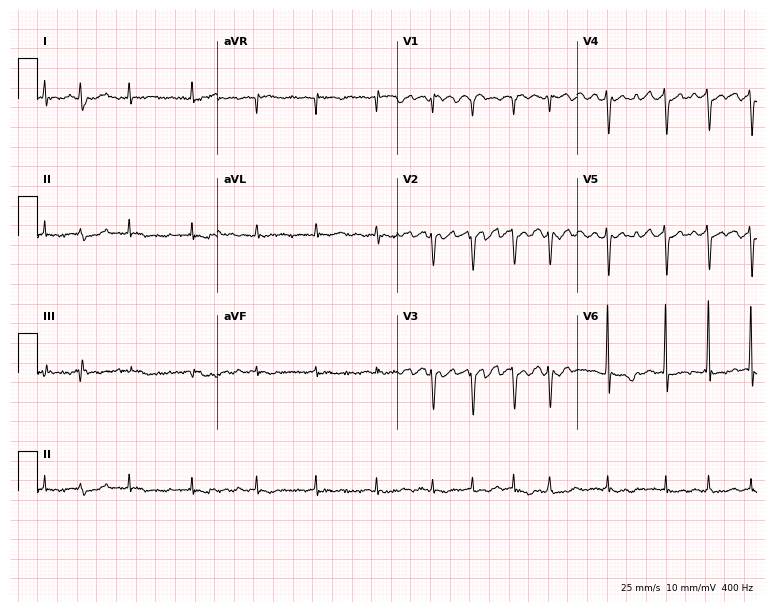
12-lead ECG from a 75-year-old female. Shows atrial fibrillation.